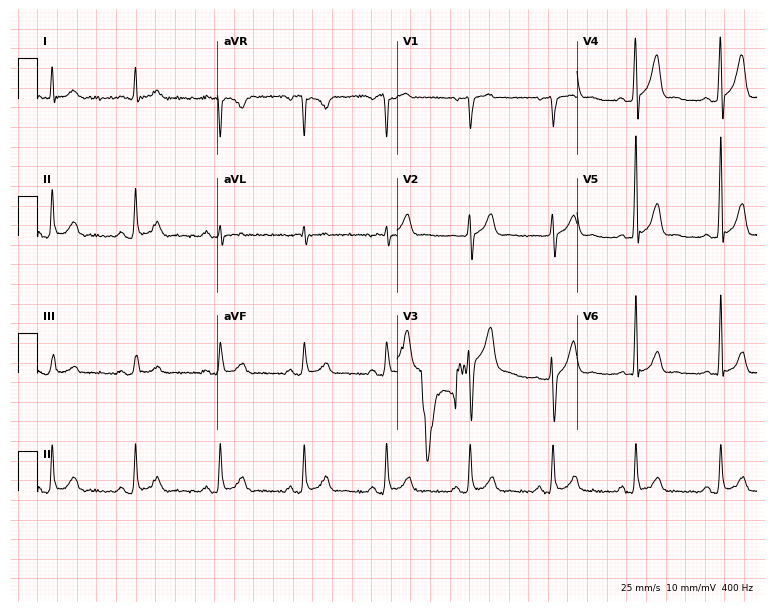
Electrocardiogram (7.3-second recording at 400 Hz), a 47-year-old male patient. Overall reading on record: normal ECG.